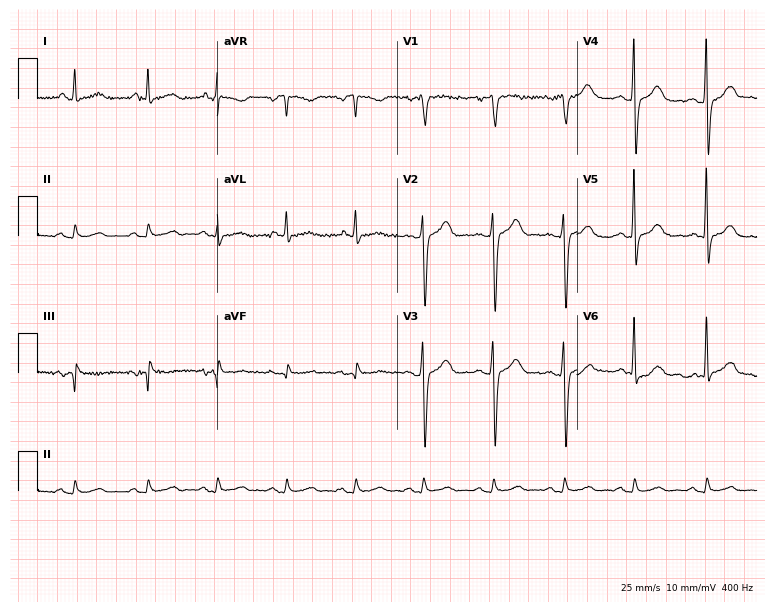
ECG — a male patient, 54 years old. Labelled as a normal ECG.